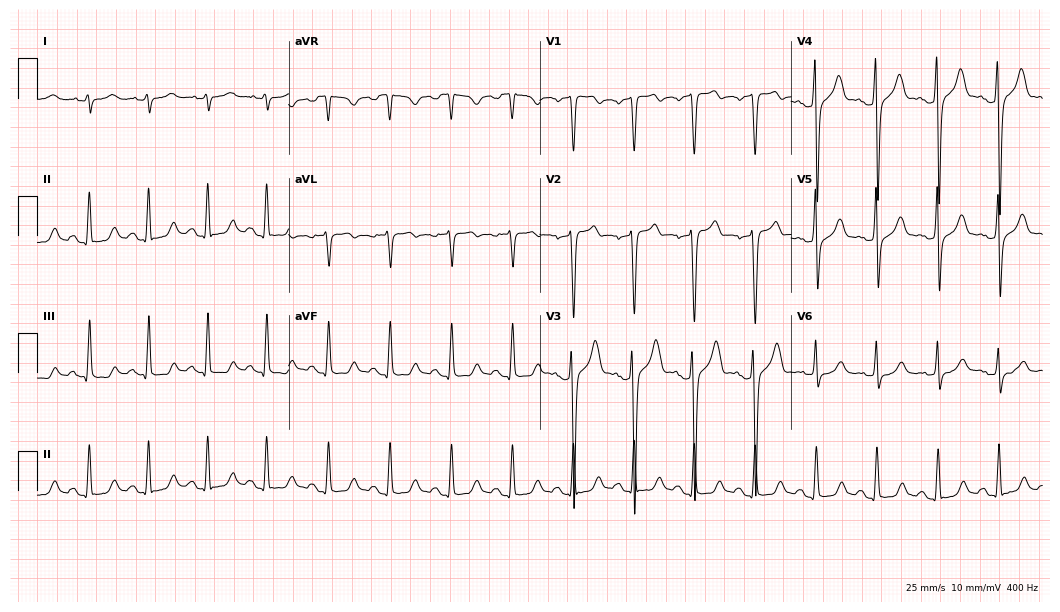
Standard 12-lead ECG recorded from a man, 38 years old (10.2-second recording at 400 Hz). None of these six findings is recorded: first-degree AV block, right bundle branch block (RBBB), left bundle branch block (LBBB), sinus bradycardia, atrial fibrillation (AF), sinus tachycardia. Only these six findings were labelled.